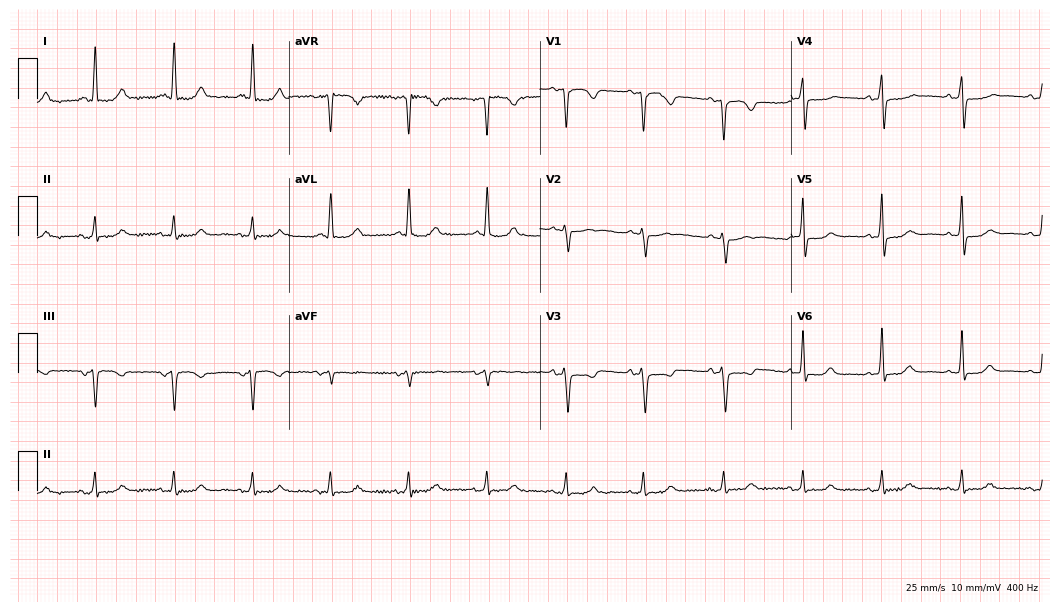
Resting 12-lead electrocardiogram. Patient: a female, 56 years old. None of these six findings is recorded: first-degree AV block, right bundle branch block, left bundle branch block, sinus bradycardia, atrial fibrillation, sinus tachycardia. Other findings, if any, are not listed.